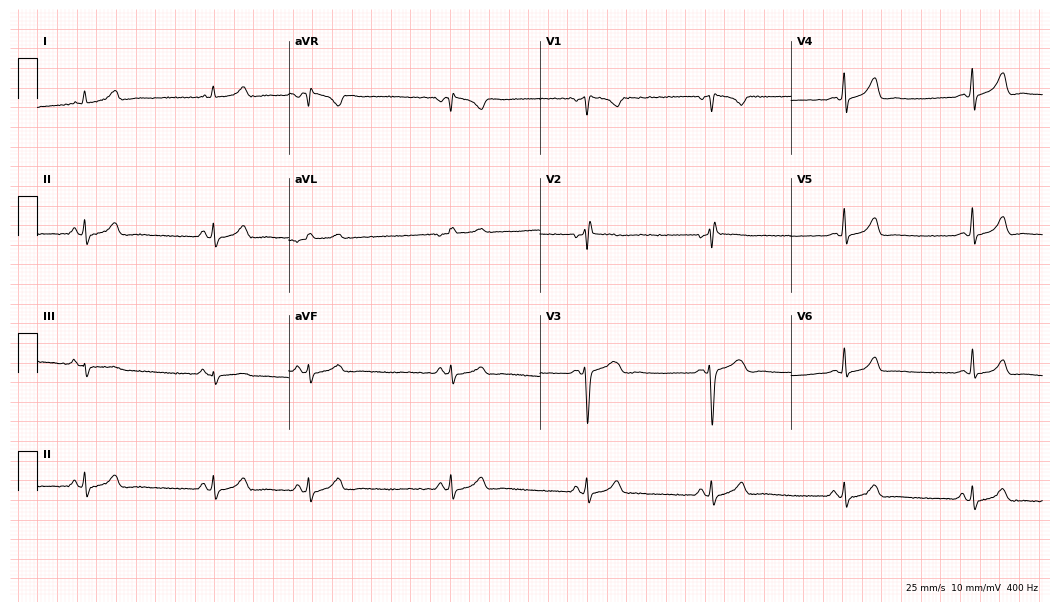
12-lead ECG from a female patient, 25 years old. Screened for six findings — first-degree AV block, right bundle branch block, left bundle branch block, sinus bradycardia, atrial fibrillation, sinus tachycardia — none is recorded. Only these six findings were labelled.